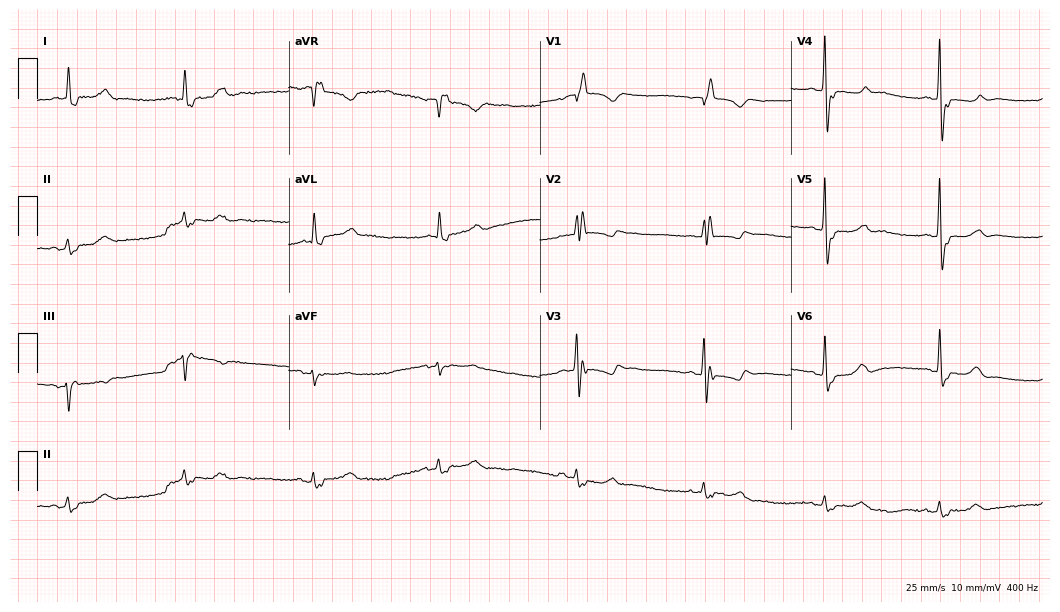
Resting 12-lead electrocardiogram. Patient: a female, 78 years old. None of these six findings is recorded: first-degree AV block, right bundle branch block, left bundle branch block, sinus bradycardia, atrial fibrillation, sinus tachycardia.